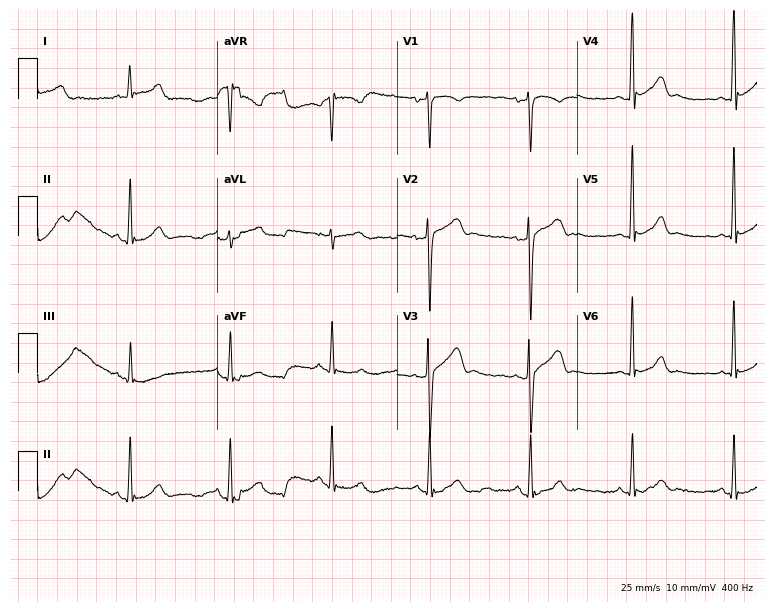
12-lead ECG (7.3-second recording at 400 Hz) from a 44-year-old man. Screened for six findings — first-degree AV block, right bundle branch block, left bundle branch block, sinus bradycardia, atrial fibrillation, sinus tachycardia — none is recorded. Other findings, if any, are not listed.